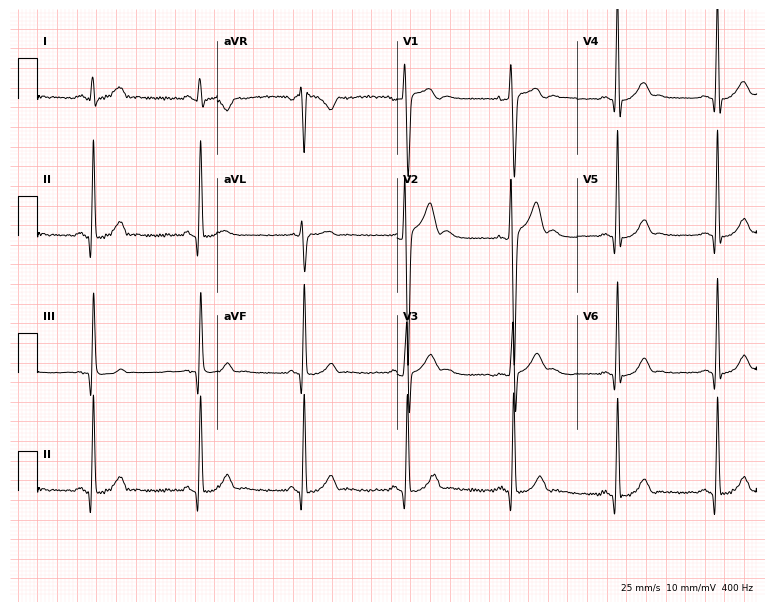
Resting 12-lead electrocardiogram (7.3-second recording at 400 Hz). Patient: a man, 22 years old. None of these six findings is recorded: first-degree AV block, right bundle branch block, left bundle branch block, sinus bradycardia, atrial fibrillation, sinus tachycardia. Other findings, if any, are not listed.